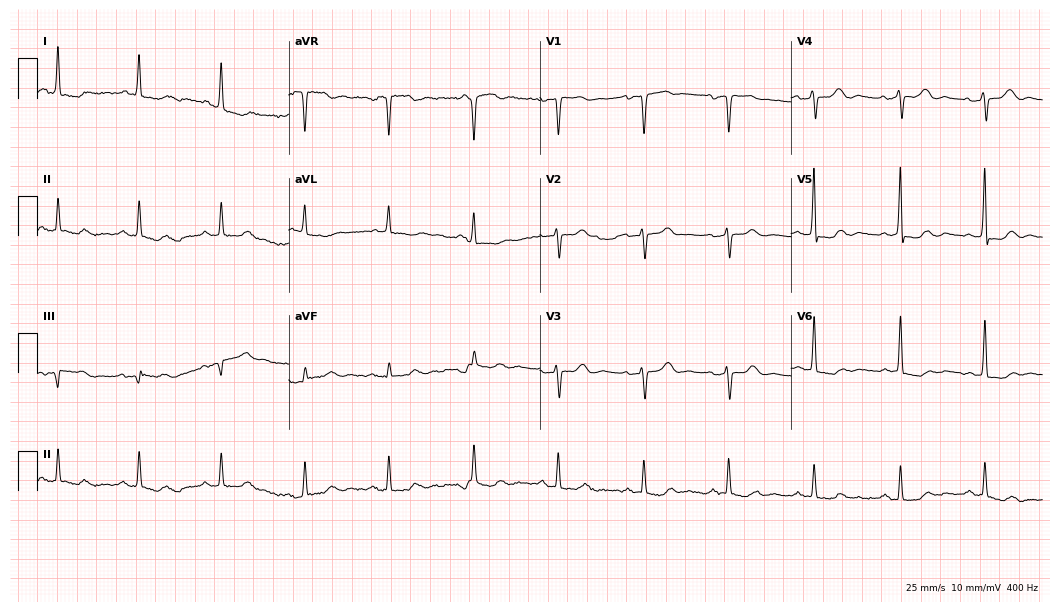
Resting 12-lead electrocardiogram (10.2-second recording at 400 Hz). Patient: a female, 65 years old. None of these six findings is recorded: first-degree AV block, right bundle branch block (RBBB), left bundle branch block (LBBB), sinus bradycardia, atrial fibrillation (AF), sinus tachycardia. Other findings, if any, are not listed.